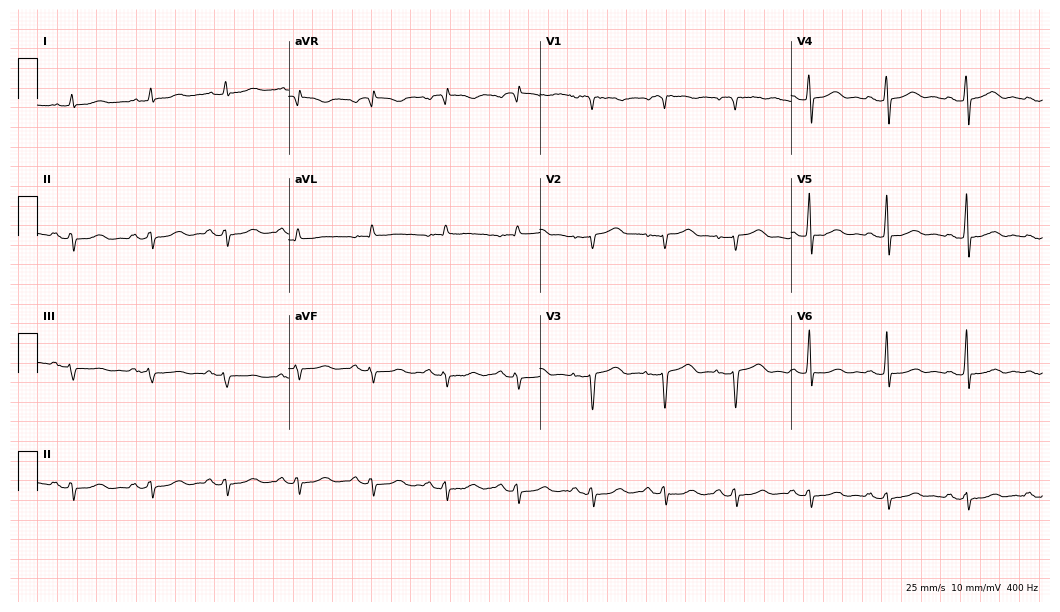
12-lead ECG from a 59-year-old woman. No first-degree AV block, right bundle branch block (RBBB), left bundle branch block (LBBB), sinus bradycardia, atrial fibrillation (AF) or sinus tachycardia recorded for this tracing.